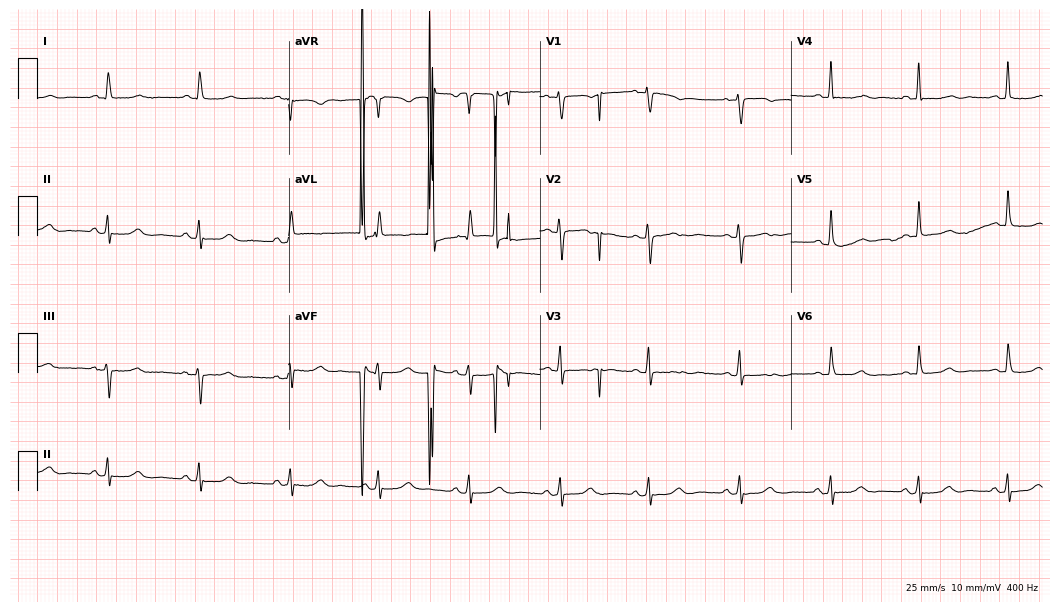
12-lead ECG from a female, 74 years old. Screened for six findings — first-degree AV block, right bundle branch block, left bundle branch block, sinus bradycardia, atrial fibrillation, sinus tachycardia — none is recorded.